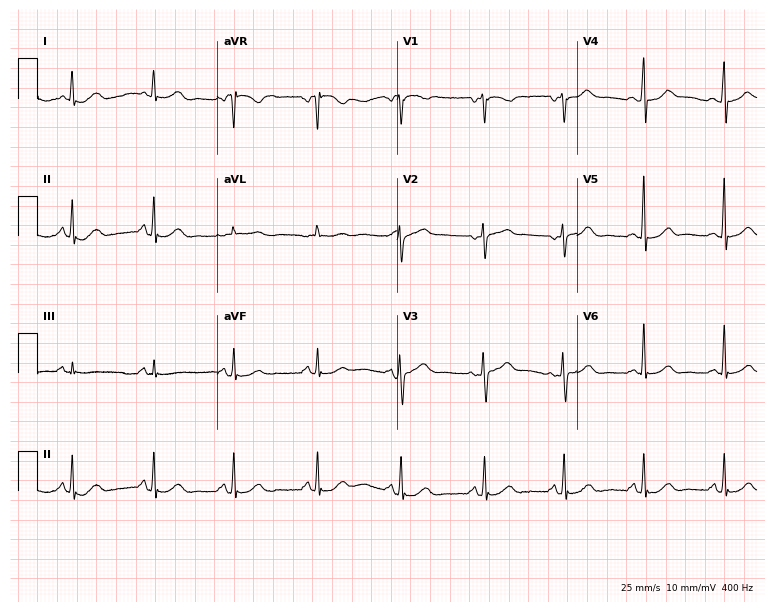
Resting 12-lead electrocardiogram (7.3-second recording at 400 Hz). Patient: a 53-year-old woman. Read as a normal ECG.